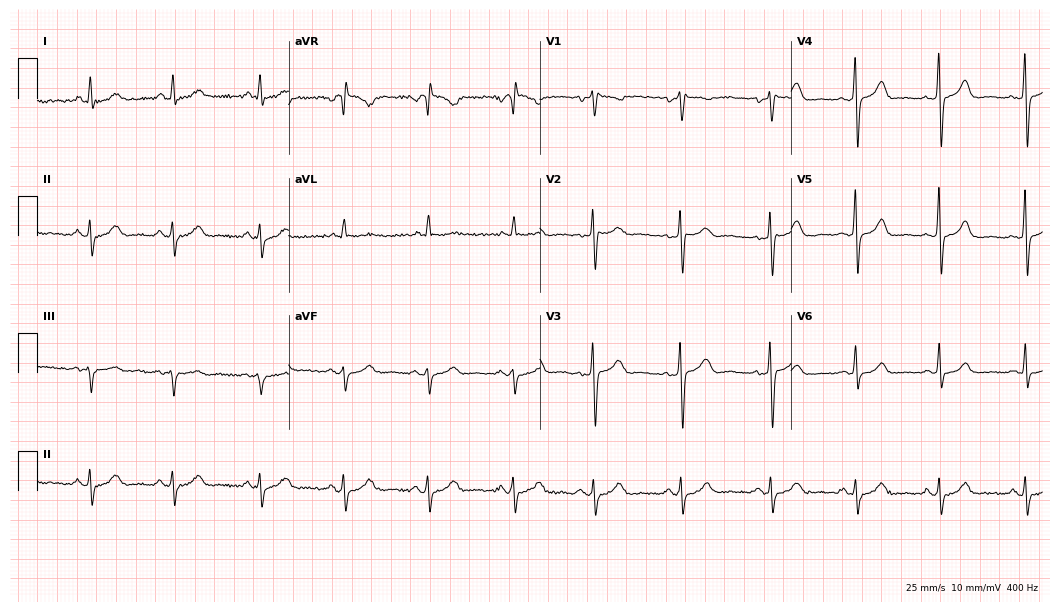
12-lead ECG from a 43-year-old female patient. Screened for six findings — first-degree AV block, right bundle branch block, left bundle branch block, sinus bradycardia, atrial fibrillation, sinus tachycardia — none is recorded. Only these six findings were labelled.